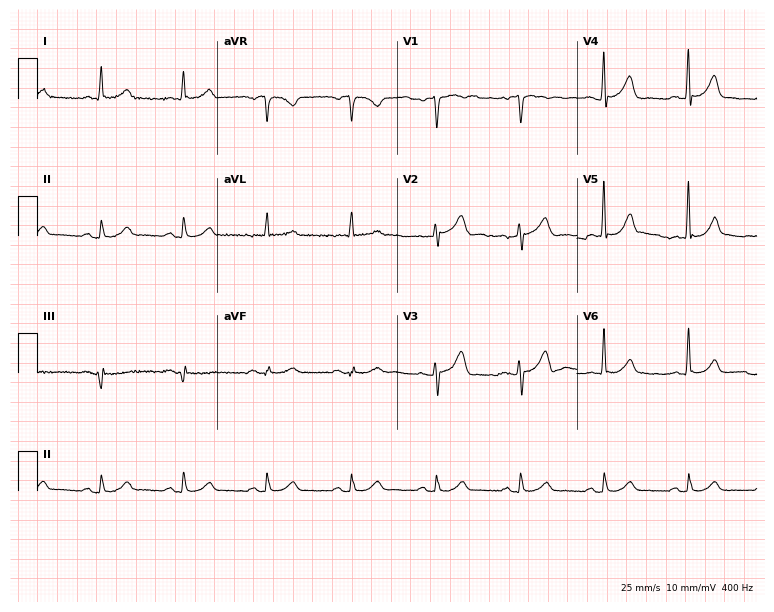
12-lead ECG (7.3-second recording at 400 Hz) from a man, 74 years old. Labelled as a normal ECG.